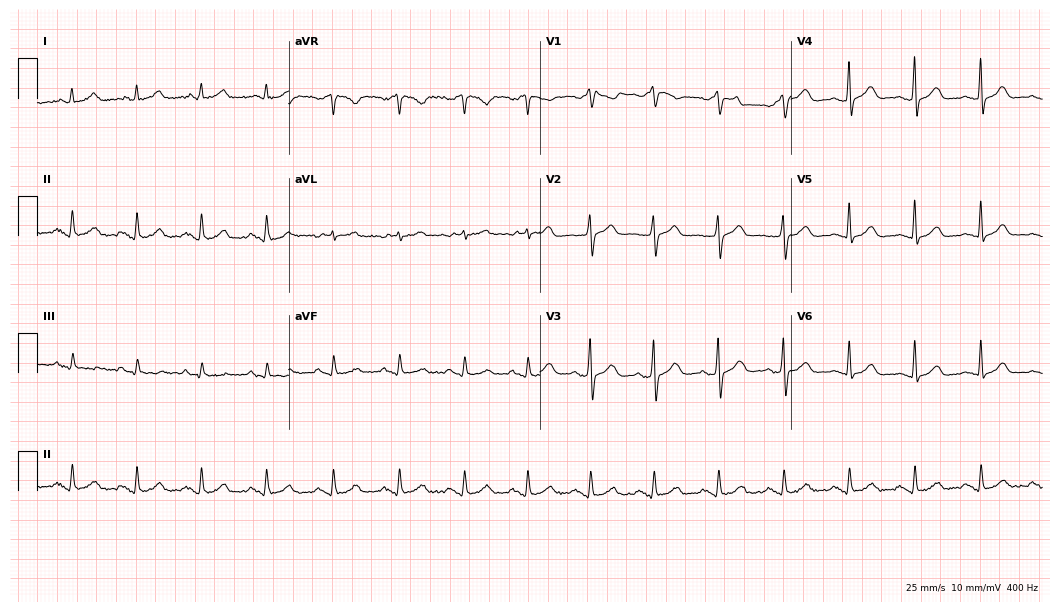
12-lead ECG from a male, 79 years old (10.2-second recording at 400 Hz). No first-degree AV block, right bundle branch block (RBBB), left bundle branch block (LBBB), sinus bradycardia, atrial fibrillation (AF) or sinus tachycardia recorded for this tracing. Findings outside these six are not listed.